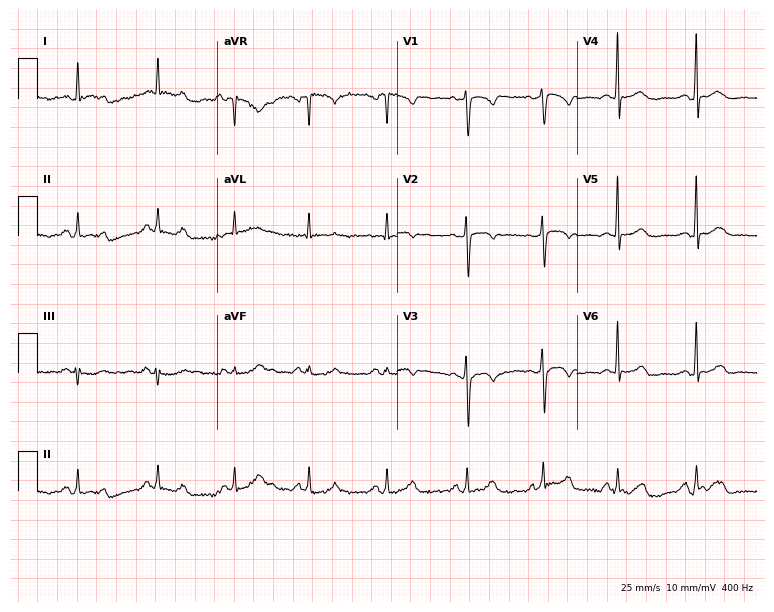
12-lead ECG (7.3-second recording at 400 Hz) from a 38-year-old female. Screened for six findings — first-degree AV block, right bundle branch block, left bundle branch block, sinus bradycardia, atrial fibrillation, sinus tachycardia — none is recorded. Findings outside these six are not listed.